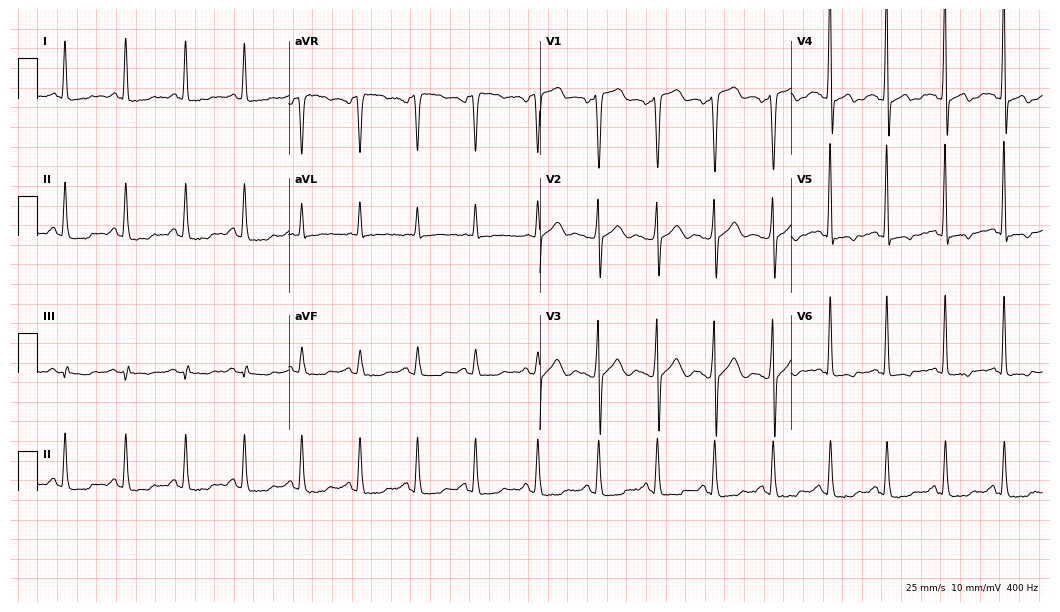
ECG — a male, 40 years old. Screened for six findings — first-degree AV block, right bundle branch block, left bundle branch block, sinus bradycardia, atrial fibrillation, sinus tachycardia — none is recorded.